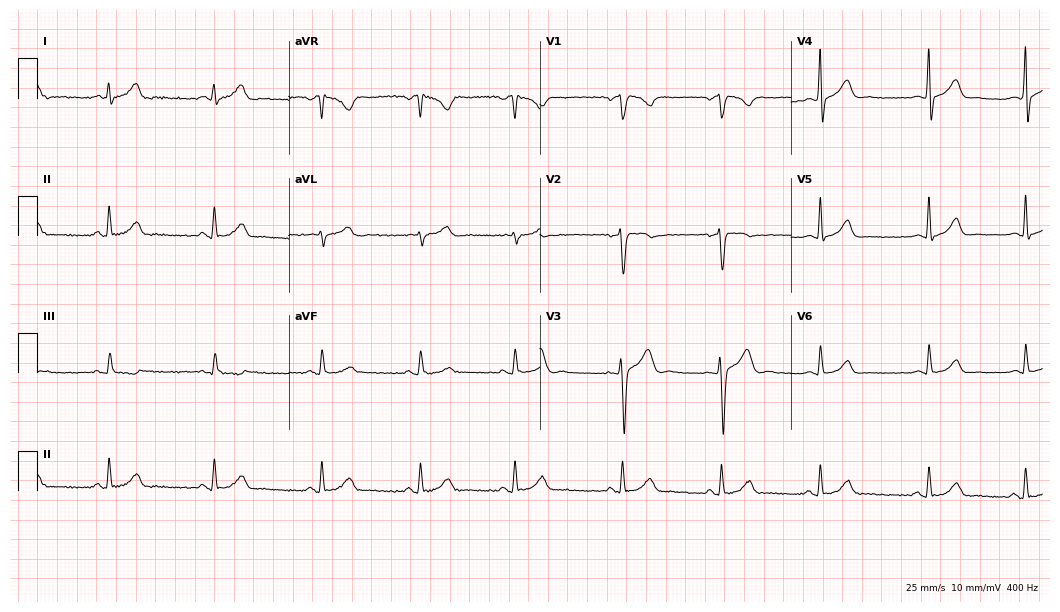
ECG (10.2-second recording at 400 Hz) — a 28-year-old male patient. Labelled as a normal ECG.